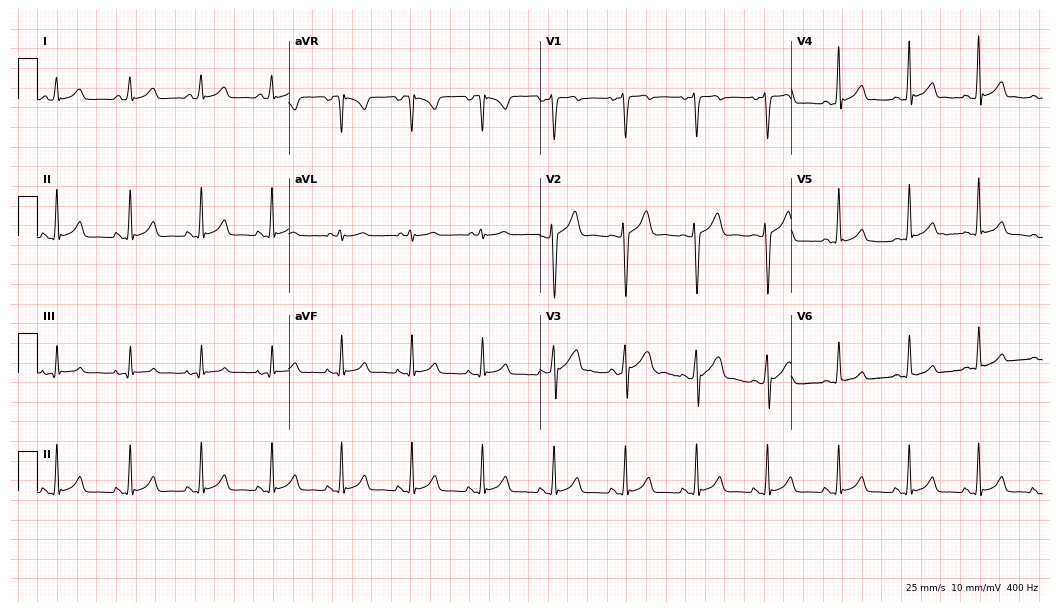
ECG (10.2-second recording at 400 Hz) — a male, 90 years old or older. Labelled as a normal ECG.